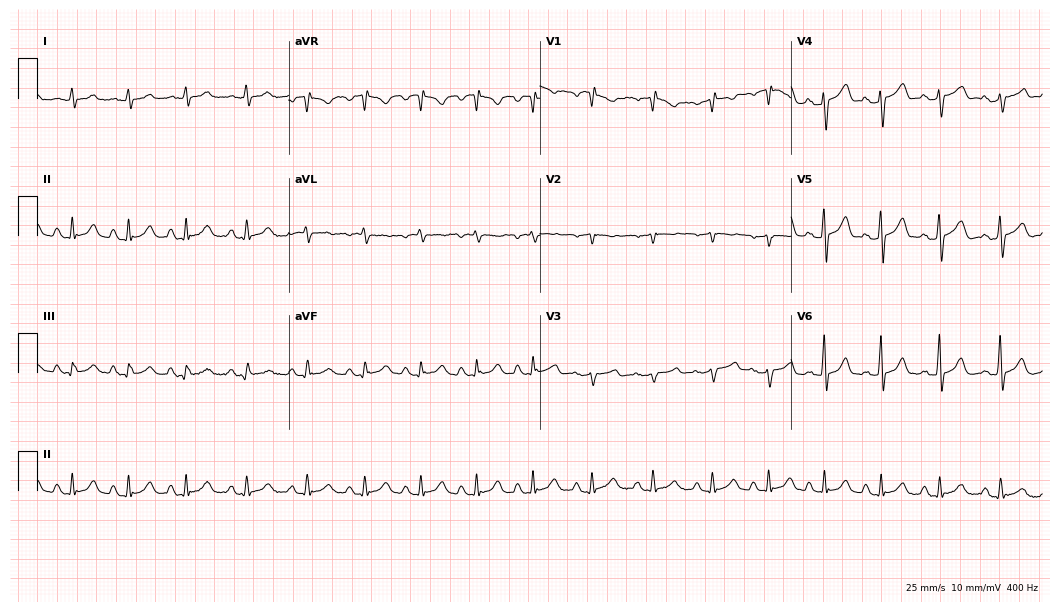
Standard 12-lead ECG recorded from a male, 56 years old. None of these six findings is recorded: first-degree AV block, right bundle branch block (RBBB), left bundle branch block (LBBB), sinus bradycardia, atrial fibrillation (AF), sinus tachycardia.